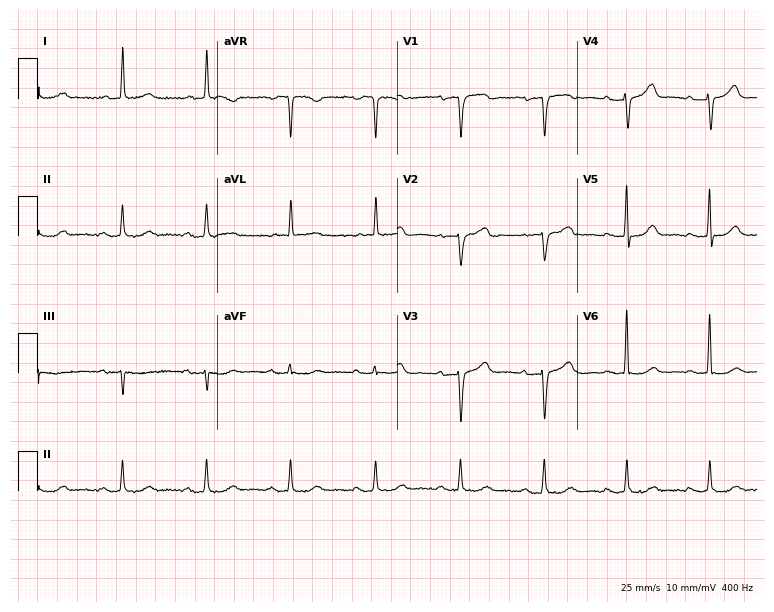
Electrocardiogram (7.3-second recording at 400 Hz), an 80-year-old female patient. Of the six screened findings (first-degree AV block, right bundle branch block (RBBB), left bundle branch block (LBBB), sinus bradycardia, atrial fibrillation (AF), sinus tachycardia), none is recorded.